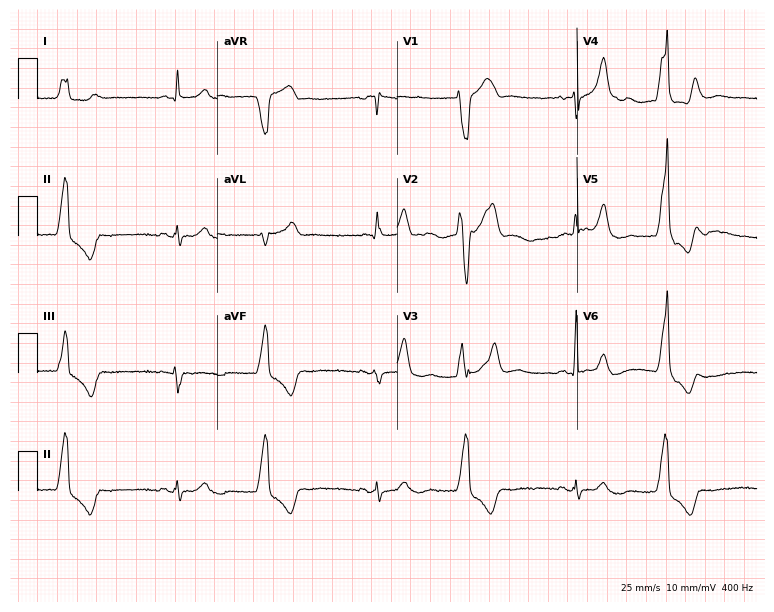
Electrocardiogram (7.3-second recording at 400 Hz), a male patient, 83 years old. Of the six screened findings (first-degree AV block, right bundle branch block, left bundle branch block, sinus bradycardia, atrial fibrillation, sinus tachycardia), none is recorded. Findings outside these six are not listed.